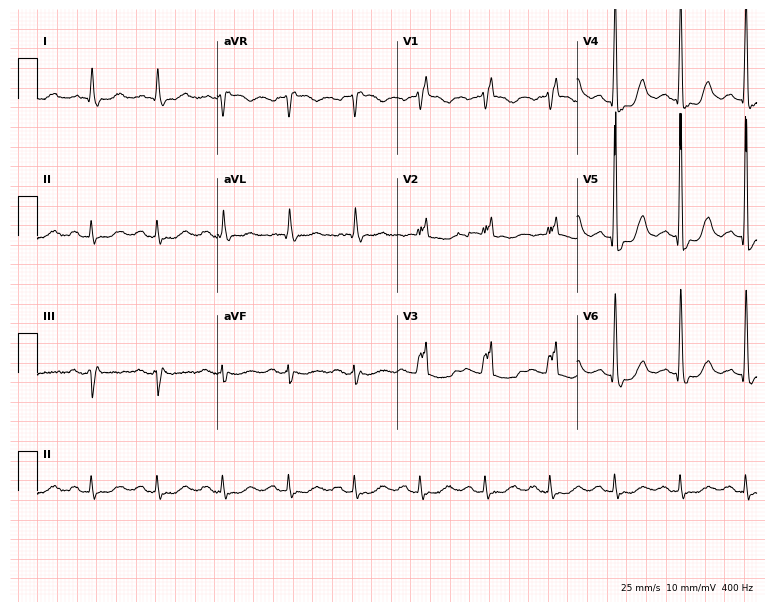
ECG (7.3-second recording at 400 Hz) — a female, 84 years old. Findings include right bundle branch block.